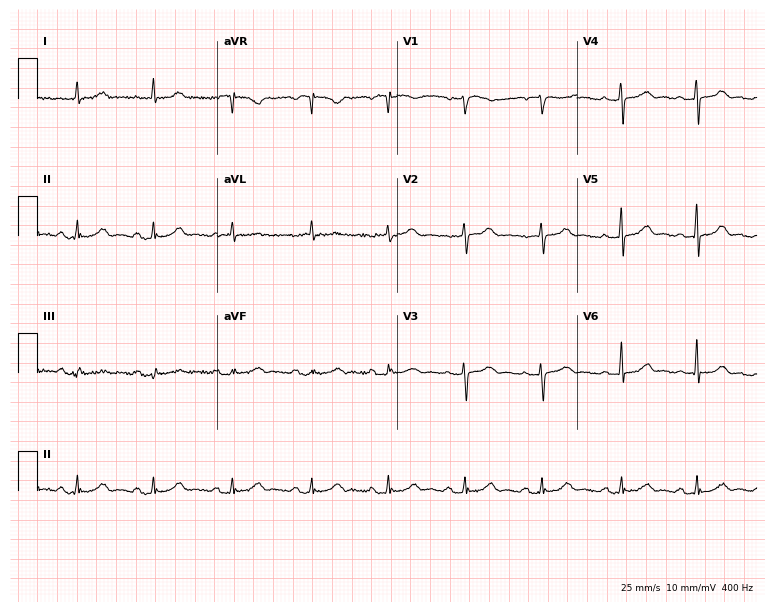
Resting 12-lead electrocardiogram (7.3-second recording at 400 Hz). Patient: a female, 82 years old. Read as a normal ECG.